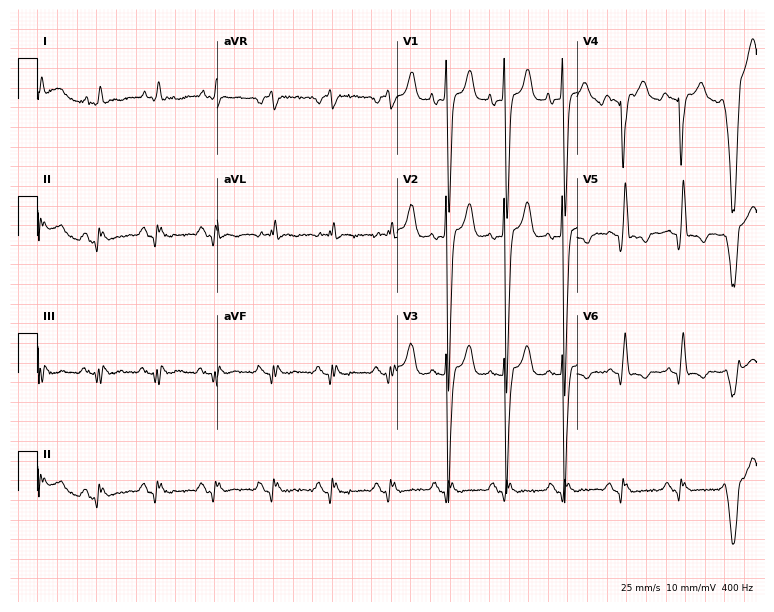
Electrocardiogram, a male patient, 71 years old. Of the six screened findings (first-degree AV block, right bundle branch block, left bundle branch block, sinus bradycardia, atrial fibrillation, sinus tachycardia), none is recorded.